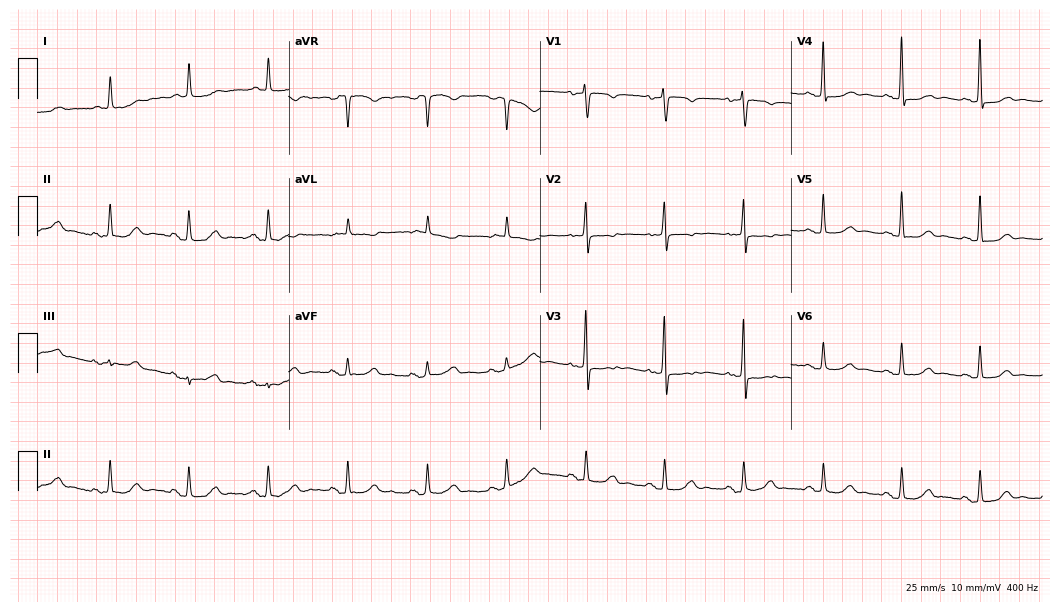
12-lead ECG from a 77-year-old woman (10.2-second recording at 400 Hz). No first-degree AV block, right bundle branch block, left bundle branch block, sinus bradycardia, atrial fibrillation or sinus tachycardia recorded for this tracing.